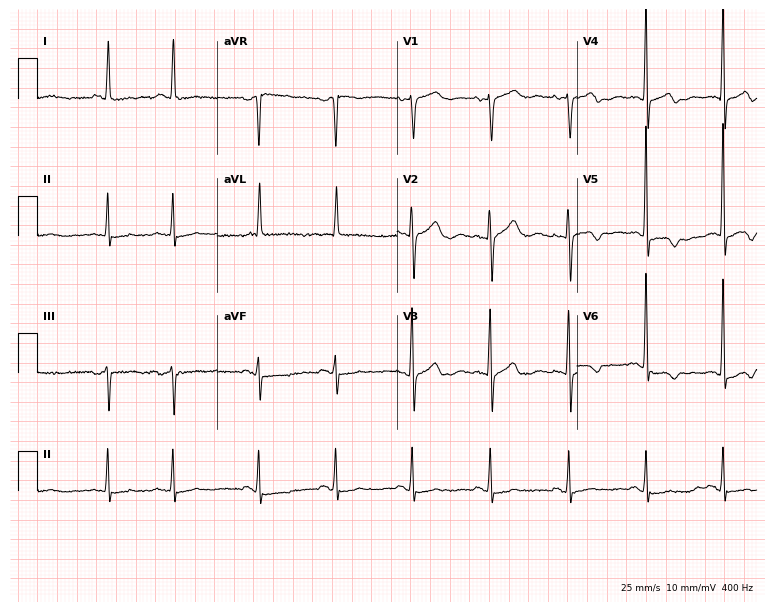
Resting 12-lead electrocardiogram. Patient: a woman, 77 years old. None of these six findings is recorded: first-degree AV block, right bundle branch block, left bundle branch block, sinus bradycardia, atrial fibrillation, sinus tachycardia.